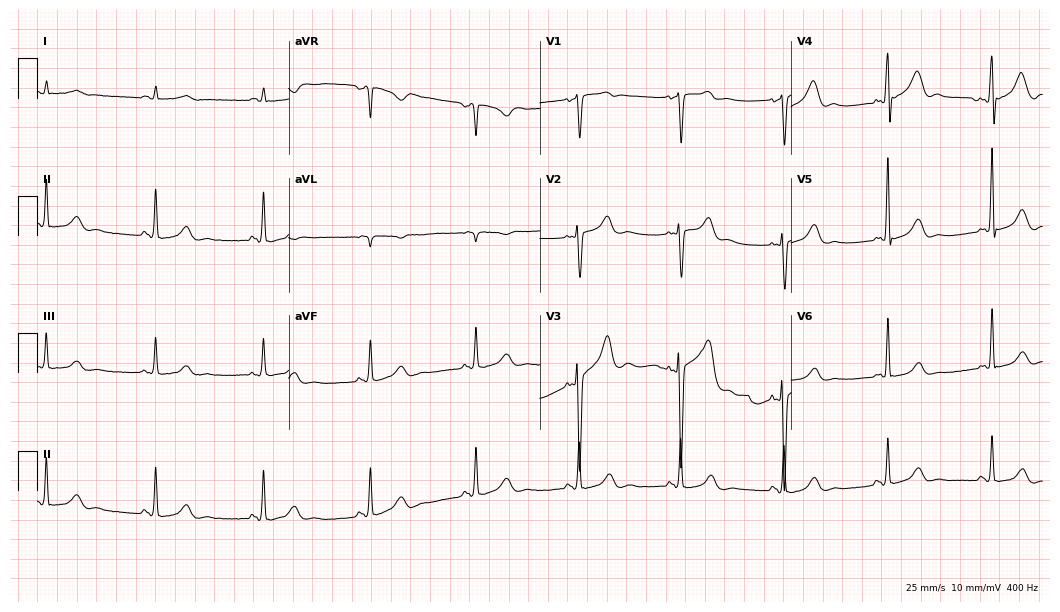
12-lead ECG (10.2-second recording at 400 Hz) from a man, 48 years old. Screened for six findings — first-degree AV block, right bundle branch block, left bundle branch block, sinus bradycardia, atrial fibrillation, sinus tachycardia — none is recorded.